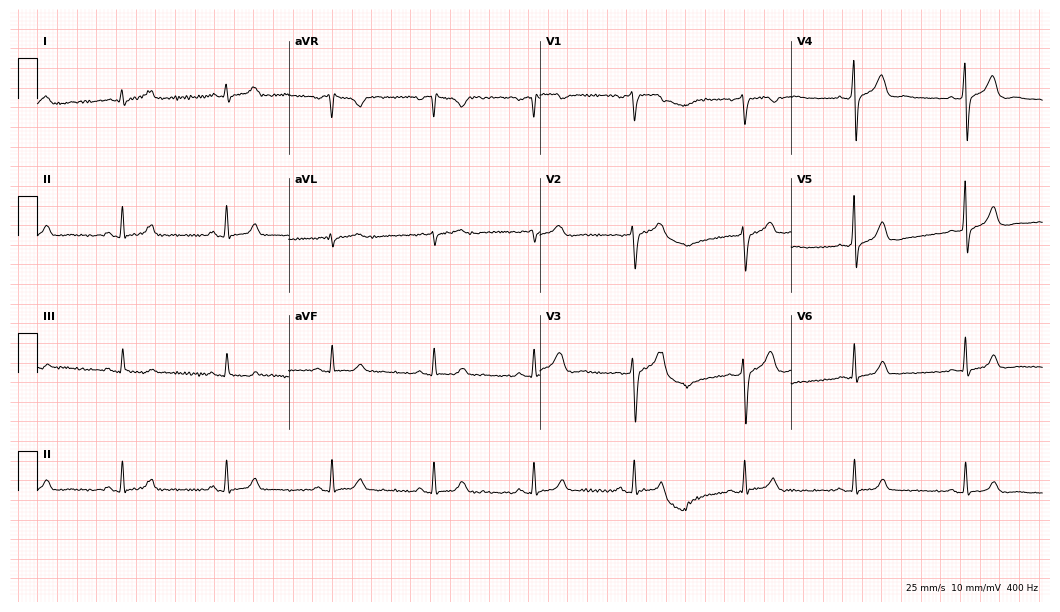
Electrocardiogram (10.2-second recording at 400 Hz), a 45-year-old man. Overall reading on record: normal ECG.